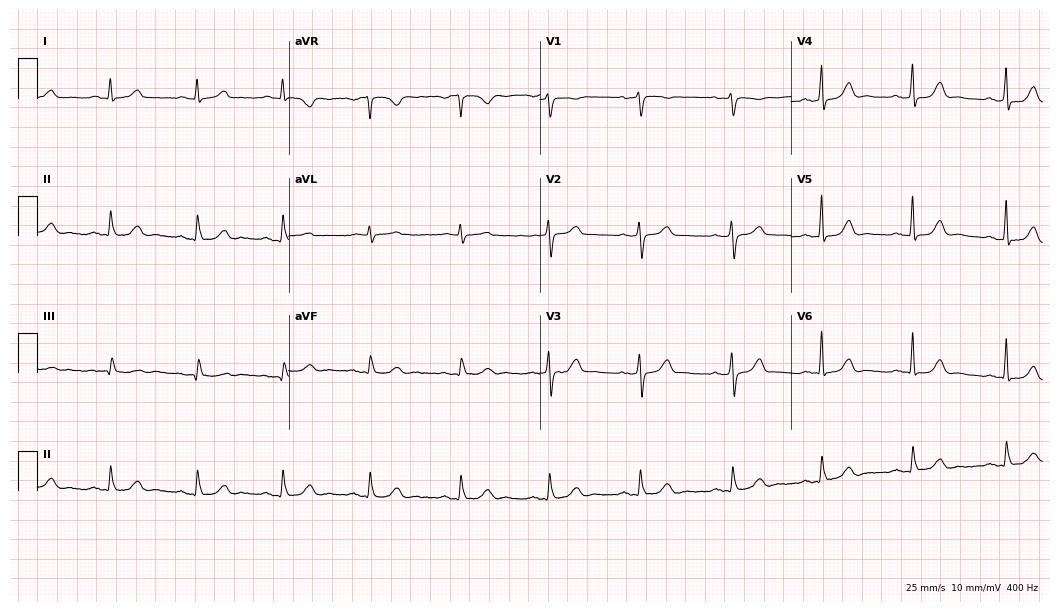
Electrocardiogram (10.2-second recording at 400 Hz), a female, 60 years old. Overall reading on record: normal ECG.